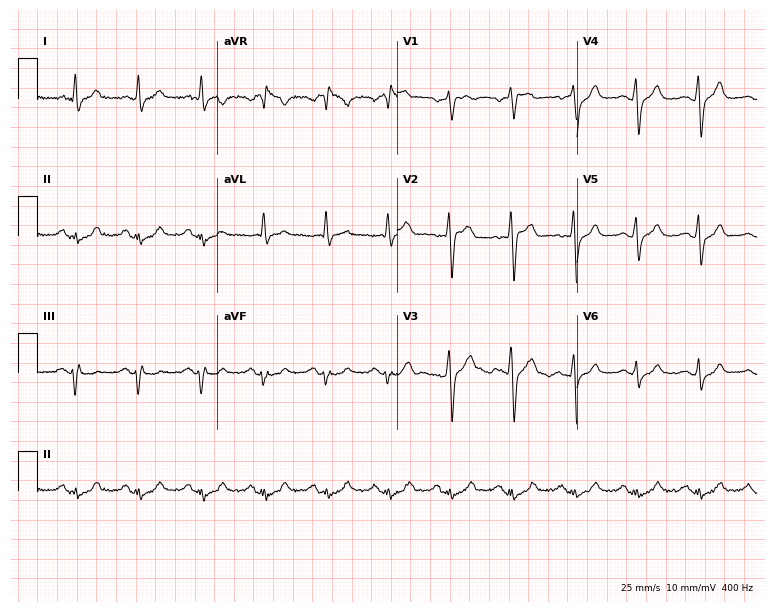
Standard 12-lead ECG recorded from a man, 54 years old (7.3-second recording at 400 Hz). None of these six findings is recorded: first-degree AV block, right bundle branch block, left bundle branch block, sinus bradycardia, atrial fibrillation, sinus tachycardia. Findings outside these six are not listed.